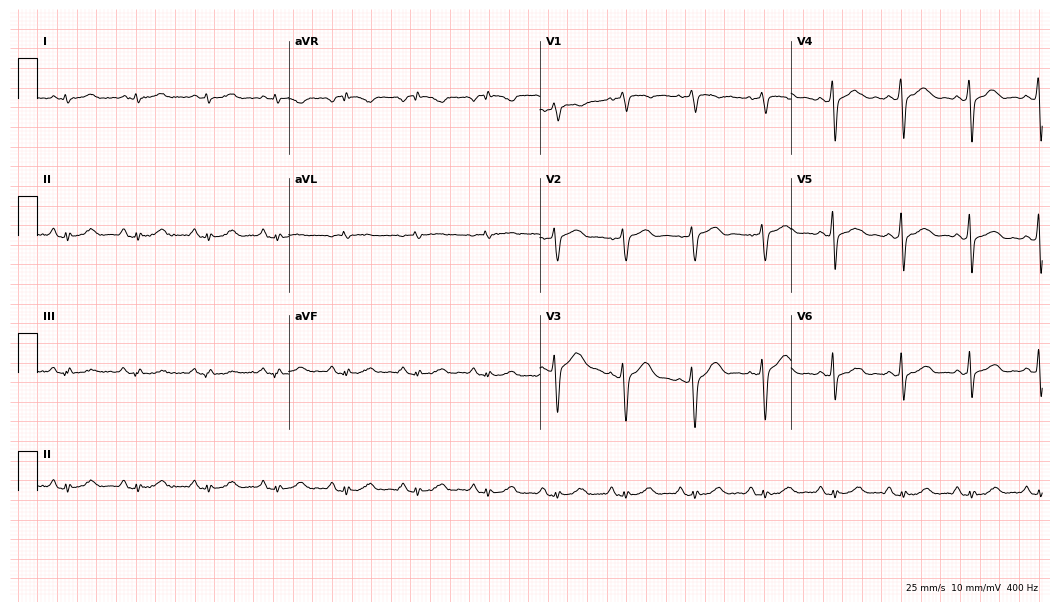
Electrocardiogram (10.2-second recording at 400 Hz), a man, 51 years old. Of the six screened findings (first-degree AV block, right bundle branch block, left bundle branch block, sinus bradycardia, atrial fibrillation, sinus tachycardia), none is recorded. Findings outside these six are not listed.